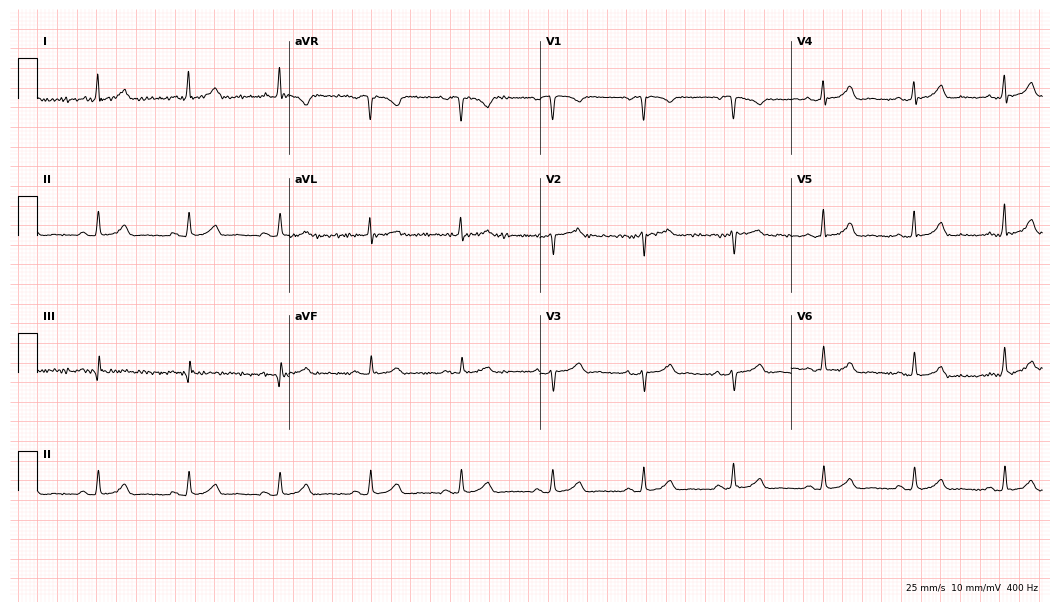
12-lead ECG (10.2-second recording at 400 Hz) from a woman, 69 years old. Labelled as a normal ECG.